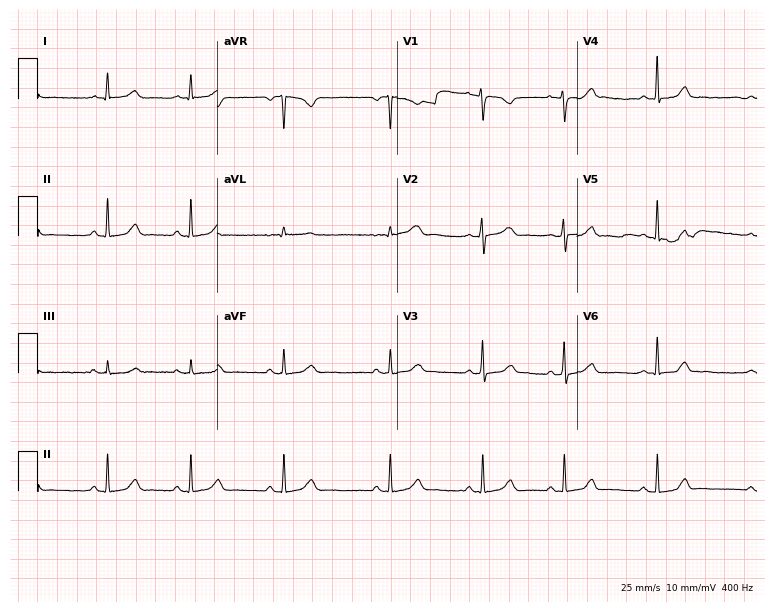
12-lead ECG from a 27-year-old female patient. Recorded interpretation: within normal limits.